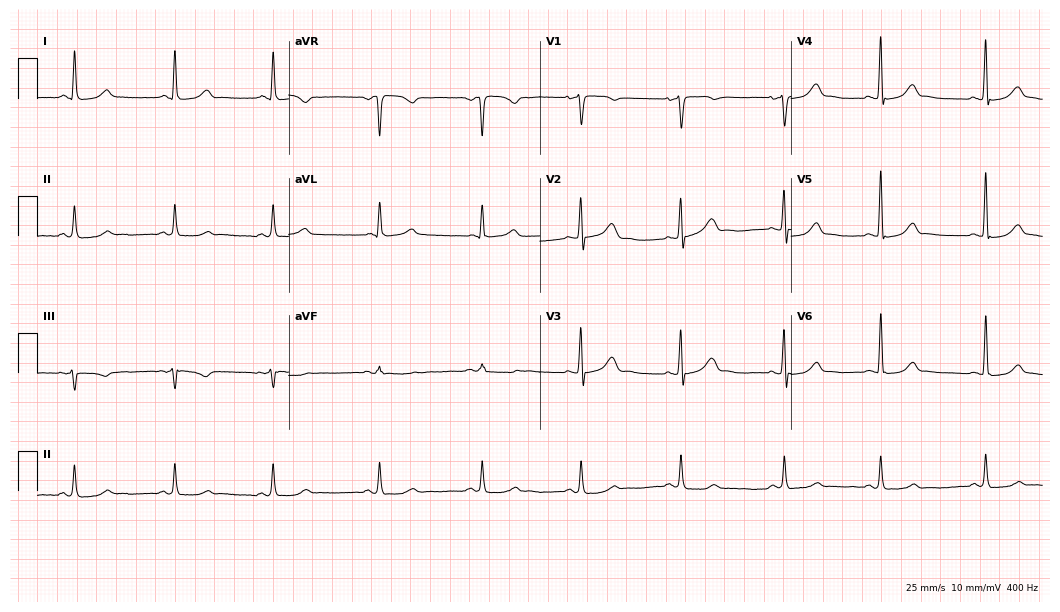
Electrocardiogram (10.2-second recording at 400 Hz), a 37-year-old female patient. Overall reading on record: normal ECG.